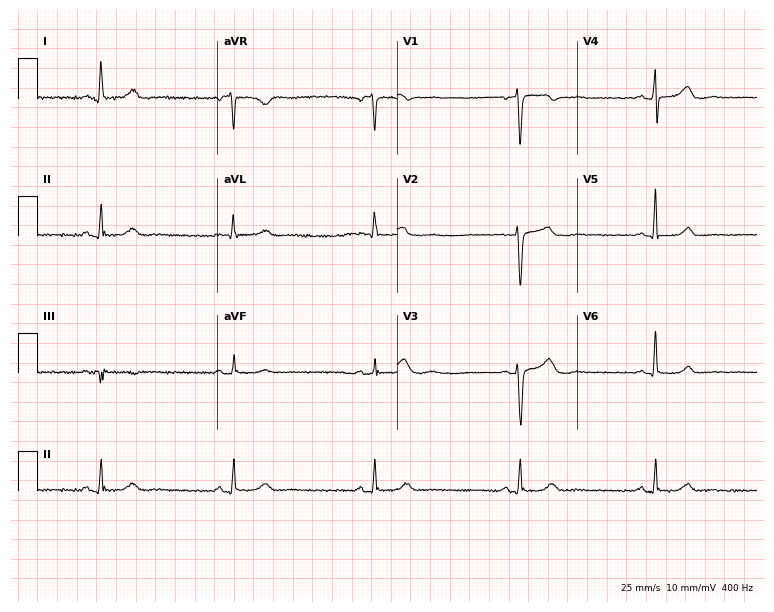
12-lead ECG from a 55-year-old female. Findings include sinus bradycardia (a sinus rate of 50 beats per minute or less).